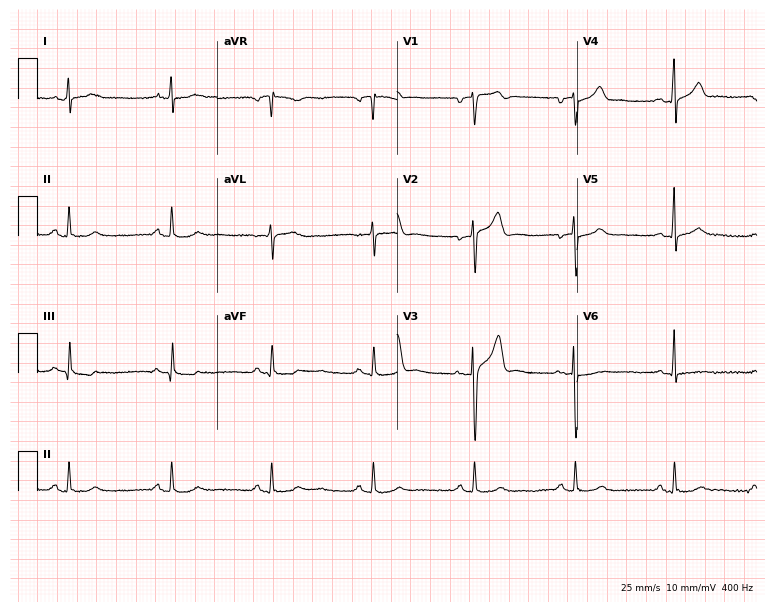
12-lead ECG (7.3-second recording at 400 Hz) from a man, 48 years old. Labelled as a normal ECG.